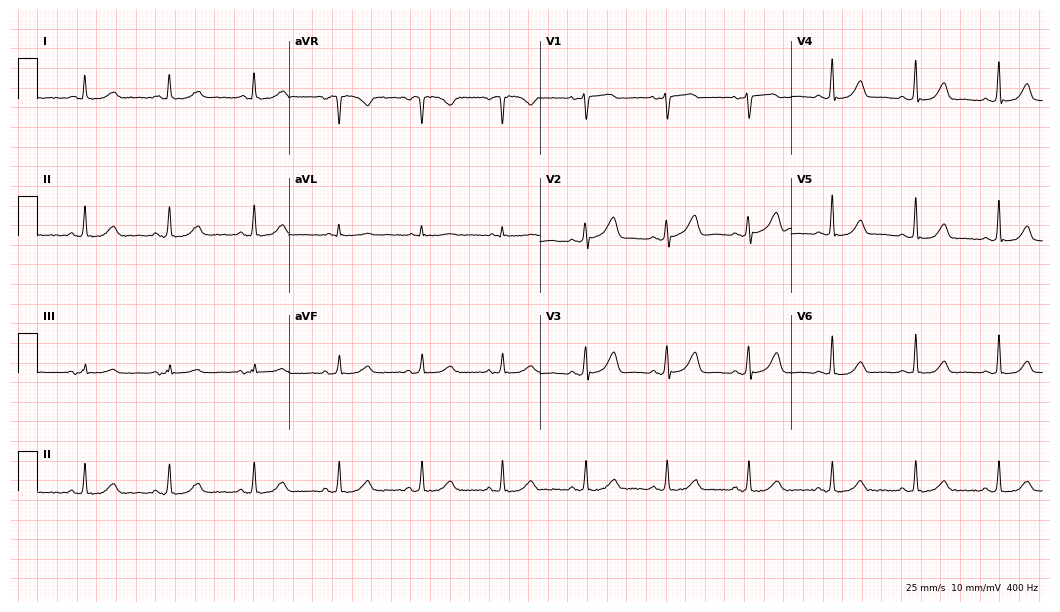
ECG — a 45-year-old woman. Labelled as a normal ECG.